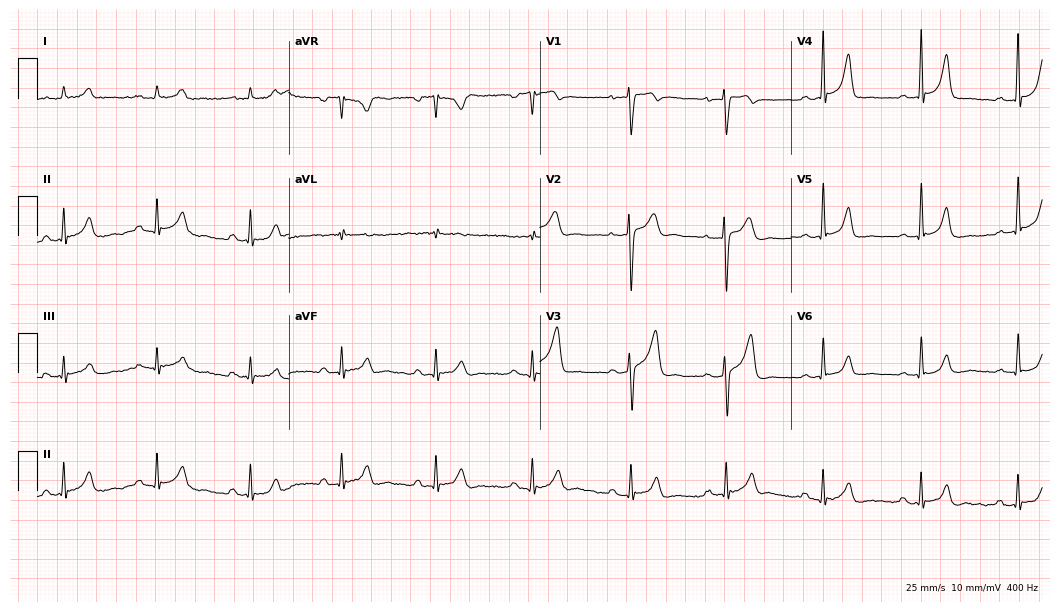
12-lead ECG from a 47-year-old male patient. No first-degree AV block, right bundle branch block (RBBB), left bundle branch block (LBBB), sinus bradycardia, atrial fibrillation (AF) or sinus tachycardia recorded for this tracing. Only these six findings were labelled.